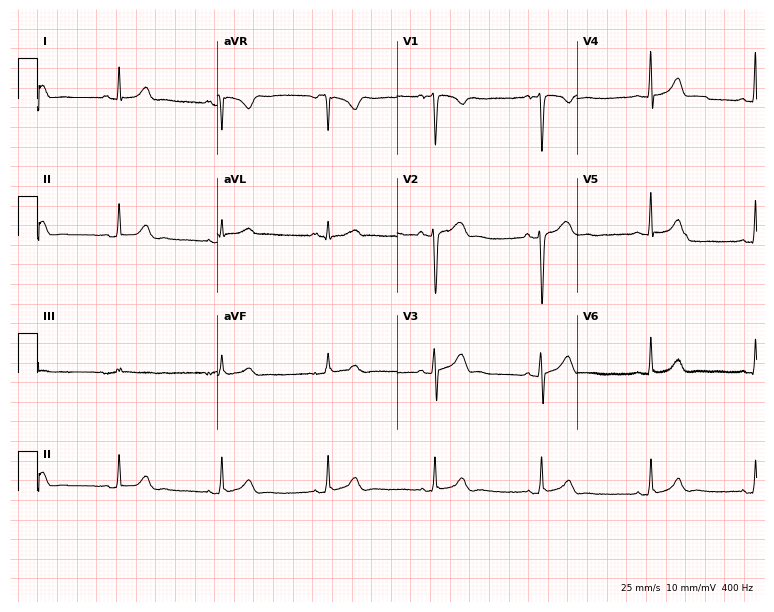
Standard 12-lead ECG recorded from a female, 21 years old. Read as a normal ECG.